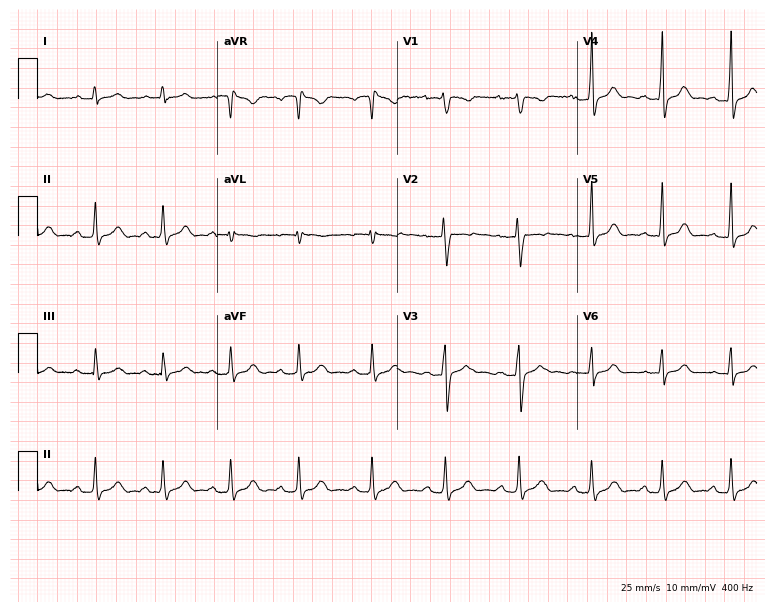
12-lead ECG (7.3-second recording at 400 Hz) from a female patient, 25 years old. Screened for six findings — first-degree AV block, right bundle branch block, left bundle branch block, sinus bradycardia, atrial fibrillation, sinus tachycardia — none is recorded. Only these six findings were labelled.